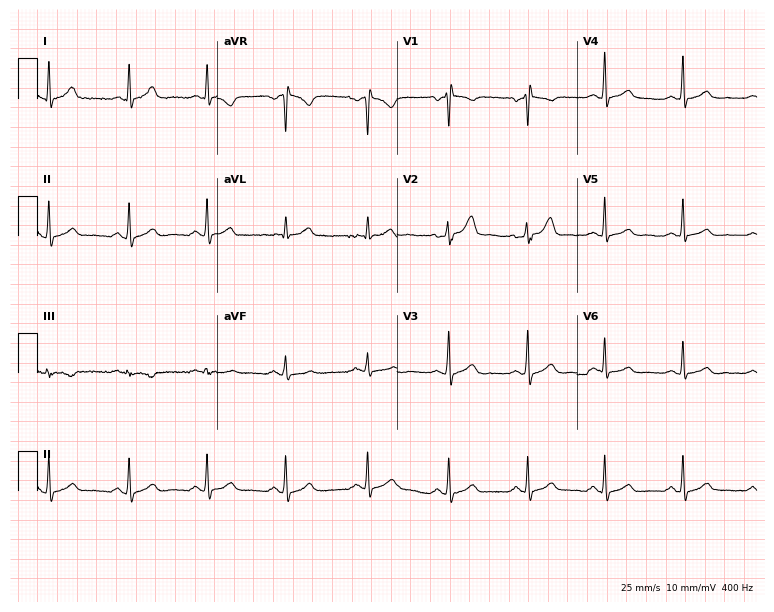
12-lead ECG from a man, 46 years old (7.3-second recording at 400 Hz). No first-degree AV block, right bundle branch block (RBBB), left bundle branch block (LBBB), sinus bradycardia, atrial fibrillation (AF) or sinus tachycardia recorded for this tracing.